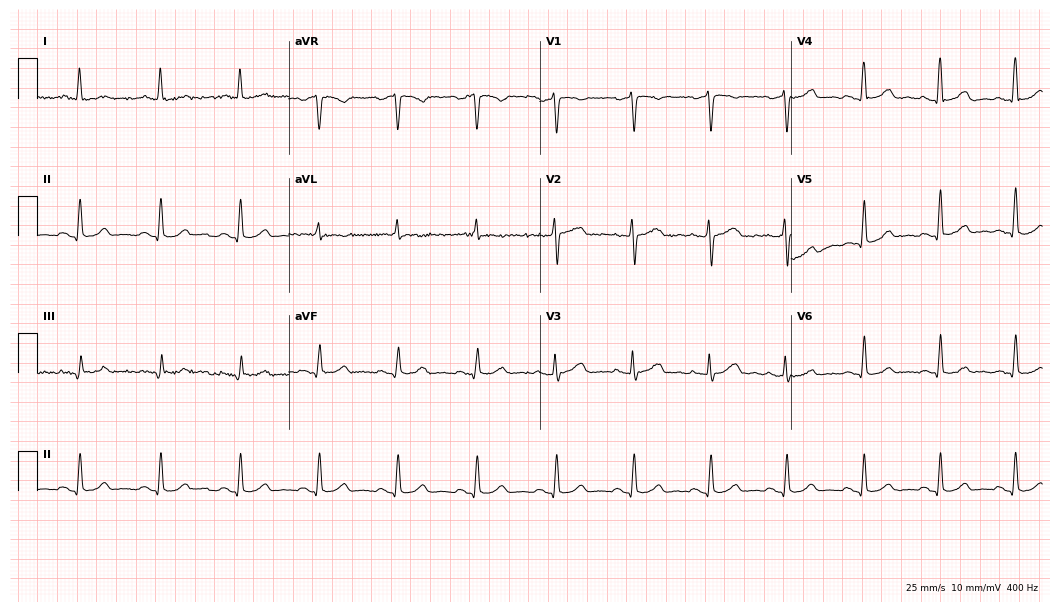
Resting 12-lead electrocardiogram (10.2-second recording at 400 Hz). Patient: a woman, 42 years old. None of these six findings is recorded: first-degree AV block, right bundle branch block, left bundle branch block, sinus bradycardia, atrial fibrillation, sinus tachycardia. Other findings, if any, are not listed.